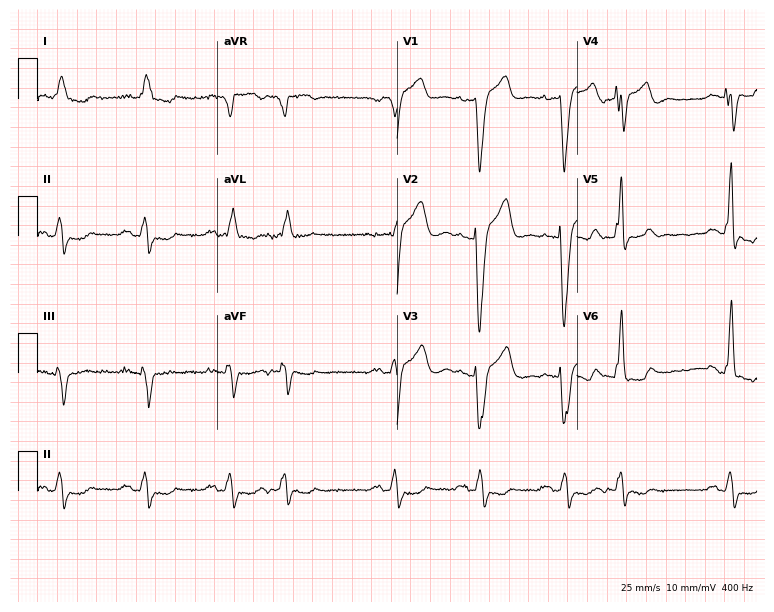
12-lead ECG from a man, 75 years old. No first-degree AV block, right bundle branch block, left bundle branch block, sinus bradycardia, atrial fibrillation or sinus tachycardia recorded for this tracing.